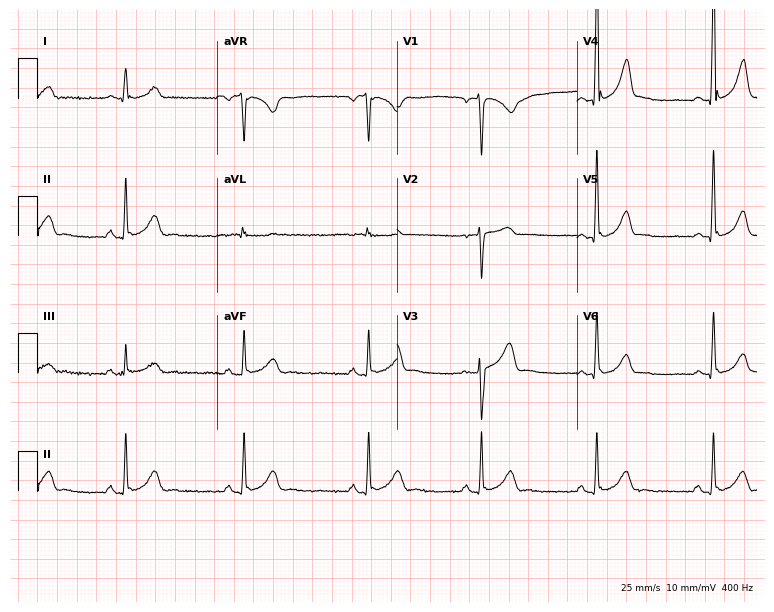
Resting 12-lead electrocardiogram (7.3-second recording at 400 Hz). Patient: a male, 45 years old. None of these six findings is recorded: first-degree AV block, right bundle branch block (RBBB), left bundle branch block (LBBB), sinus bradycardia, atrial fibrillation (AF), sinus tachycardia.